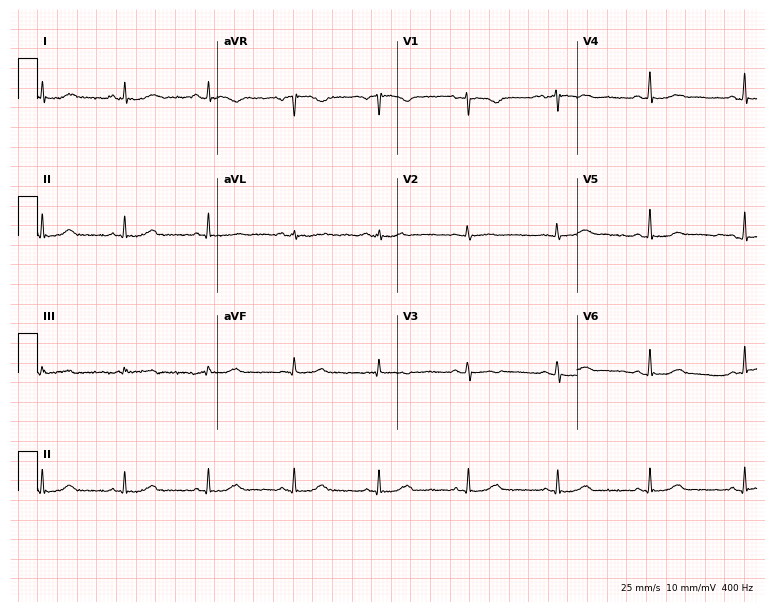
Resting 12-lead electrocardiogram. Patient: a female, 64 years old. None of these six findings is recorded: first-degree AV block, right bundle branch block, left bundle branch block, sinus bradycardia, atrial fibrillation, sinus tachycardia.